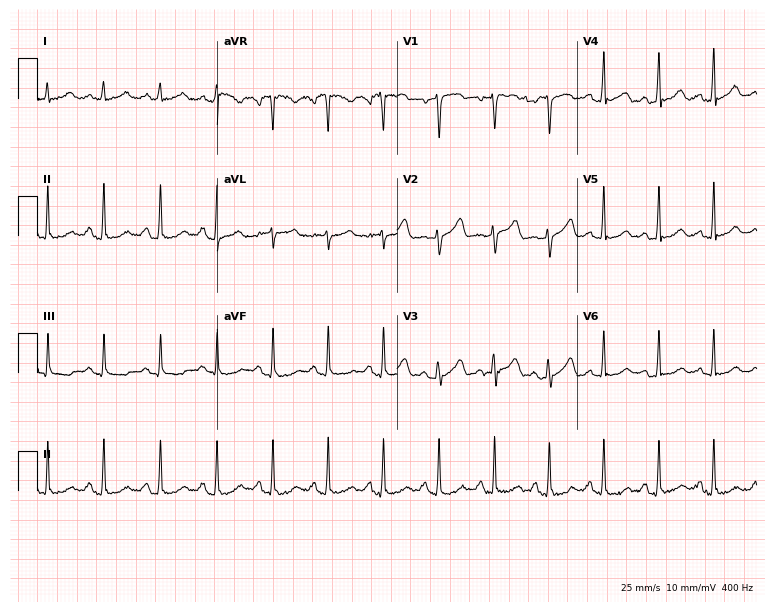
Resting 12-lead electrocardiogram (7.3-second recording at 400 Hz). Patient: a female, 60 years old. The tracing shows sinus tachycardia (a sinus rate of 100 beats per minute or more).